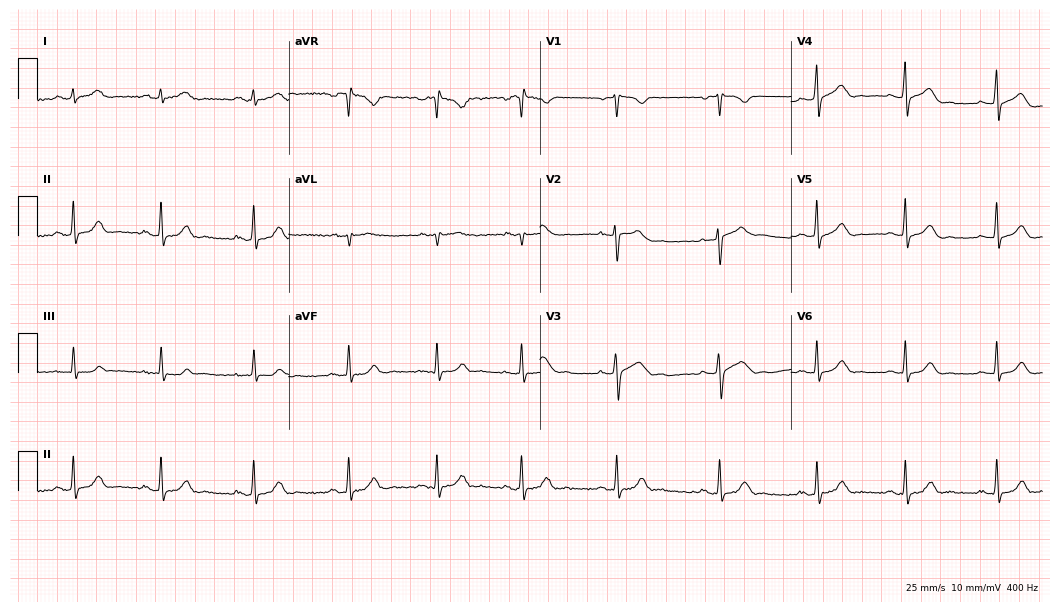
ECG (10.2-second recording at 400 Hz) — a female patient, 20 years old. Labelled as a normal ECG.